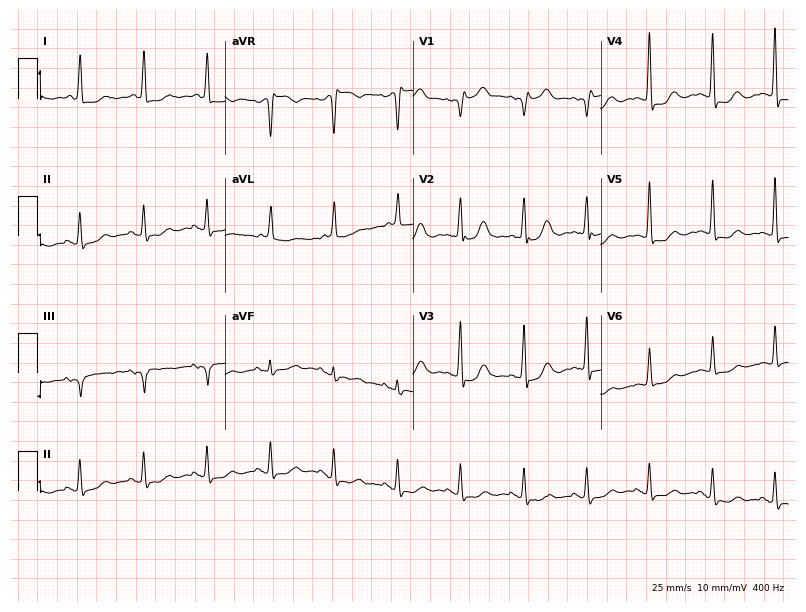
Resting 12-lead electrocardiogram. Patient: an 85-year-old female. Read as a normal ECG.